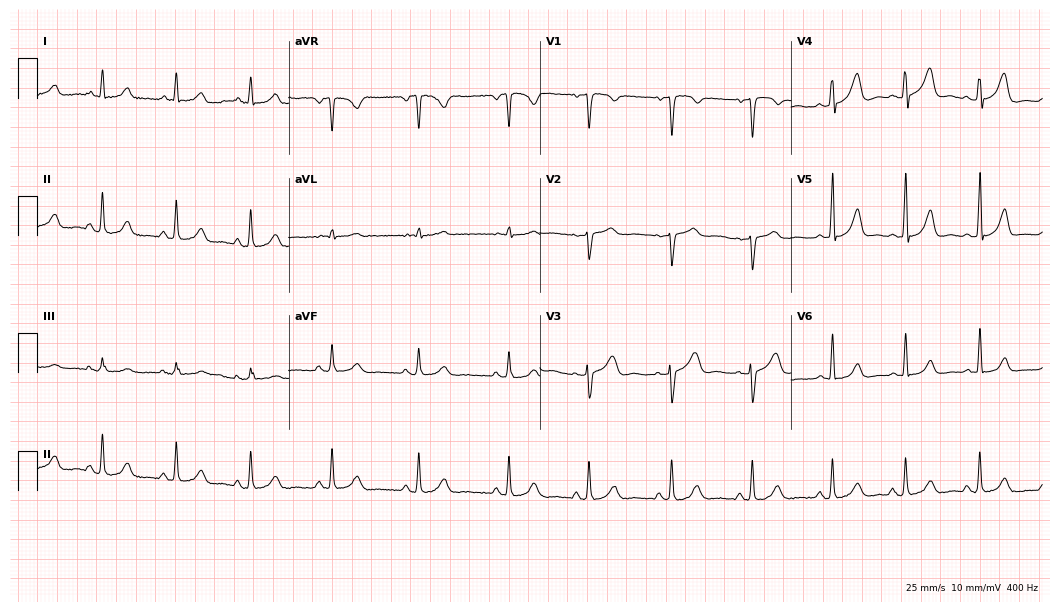
12-lead ECG from a 63-year-old female patient. Recorded interpretation: within normal limits.